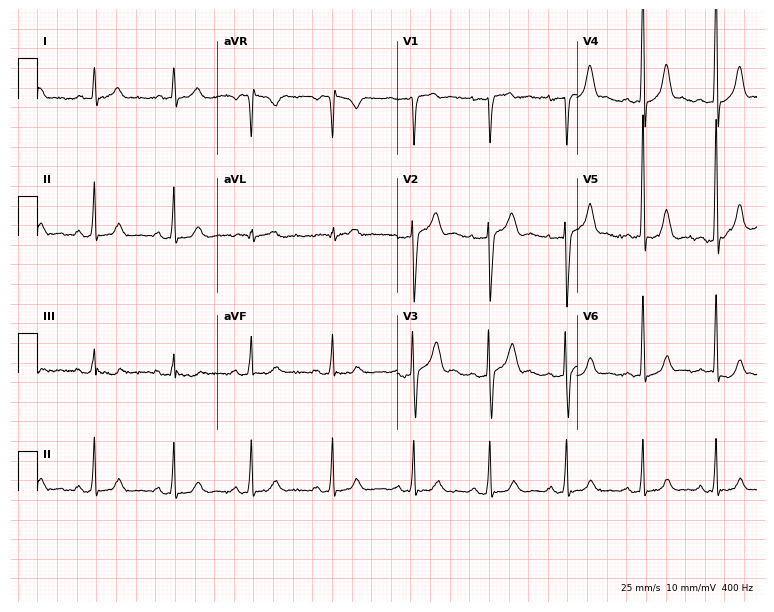
Resting 12-lead electrocardiogram (7.3-second recording at 400 Hz). Patient: a 27-year-old man. Read as a normal ECG.